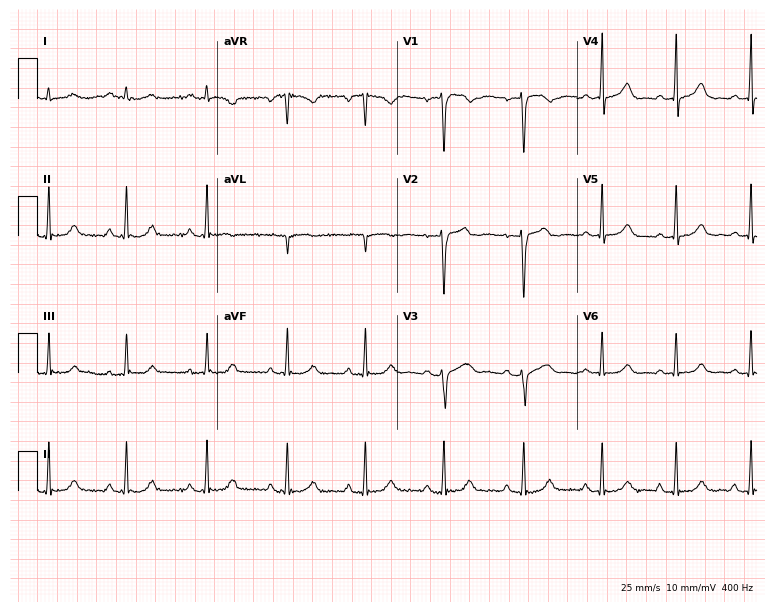
Electrocardiogram (7.3-second recording at 400 Hz), a female, 34 years old. Of the six screened findings (first-degree AV block, right bundle branch block, left bundle branch block, sinus bradycardia, atrial fibrillation, sinus tachycardia), none is recorded.